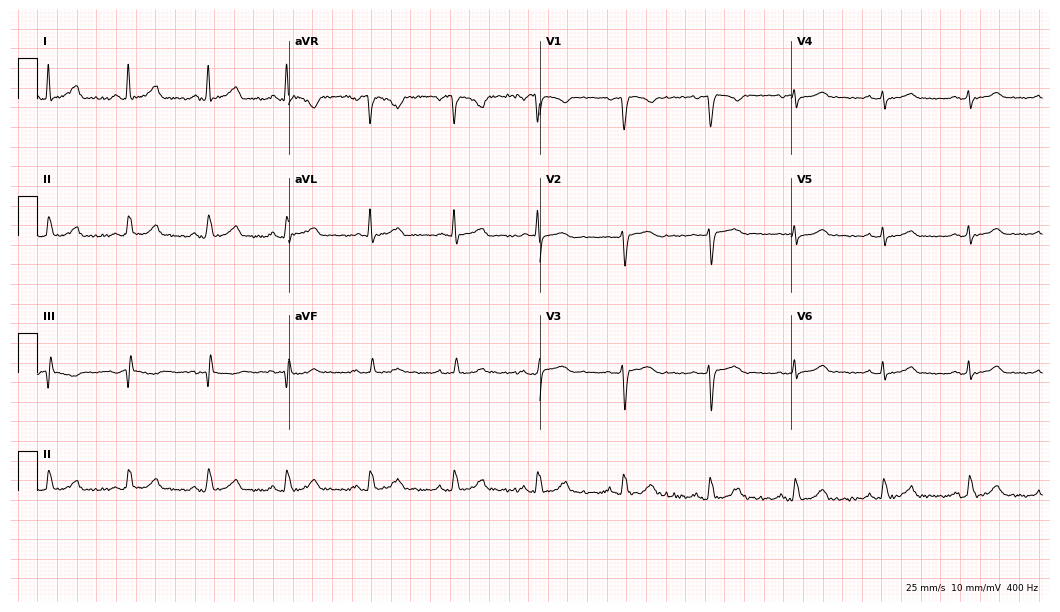
12-lead ECG from a female patient, 43 years old. No first-degree AV block, right bundle branch block, left bundle branch block, sinus bradycardia, atrial fibrillation or sinus tachycardia recorded for this tracing.